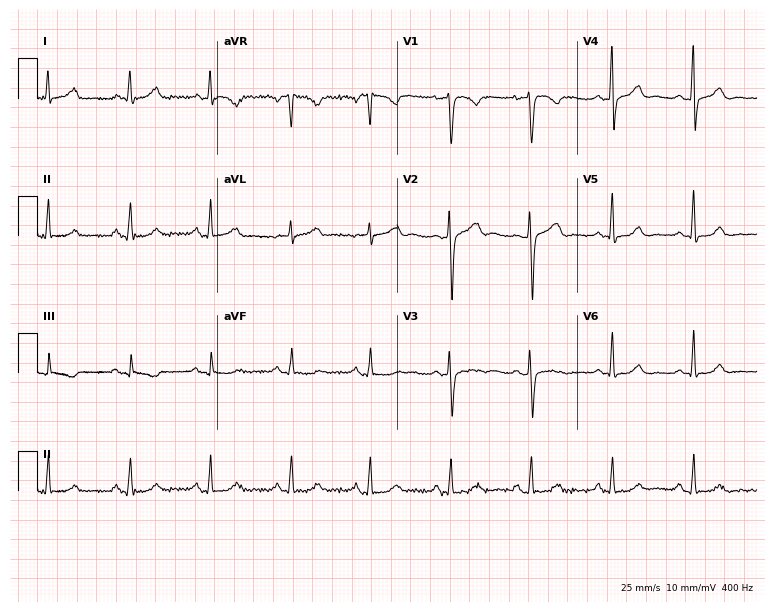
Electrocardiogram, a female, 43 years old. Overall reading on record: normal ECG.